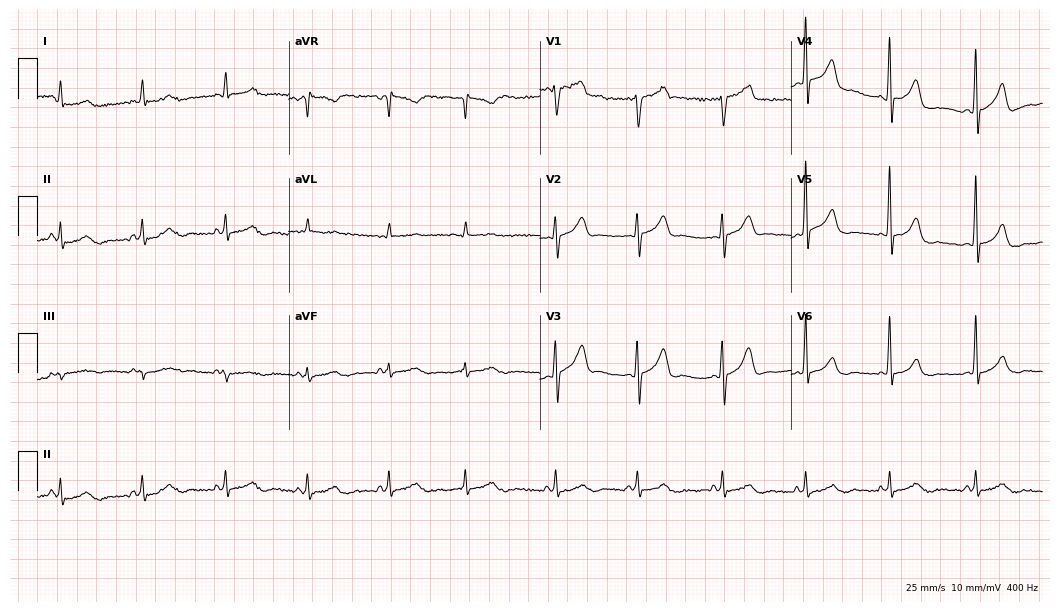
12-lead ECG from a 75-year-old male patient. No first-degree AV block, right bundle branch block, left bundle branch block, sinus bradycardia, atrial fibrillation or sinus tachycardia recorded for this tracing. Other findings, if any, are not listed.